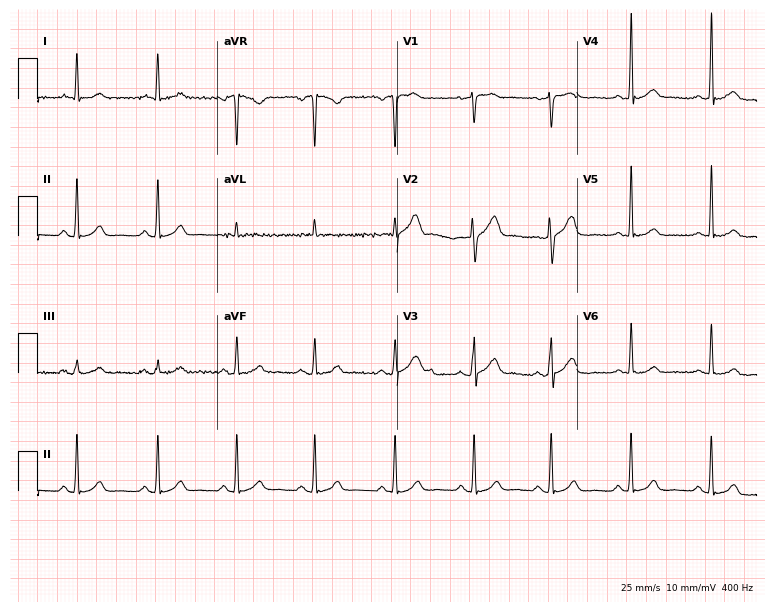
Resting 12-lead electrocardiogram (7.3-second recording at 400 Hz). Patient: a male, 50 years old. Read as a normal ECG.